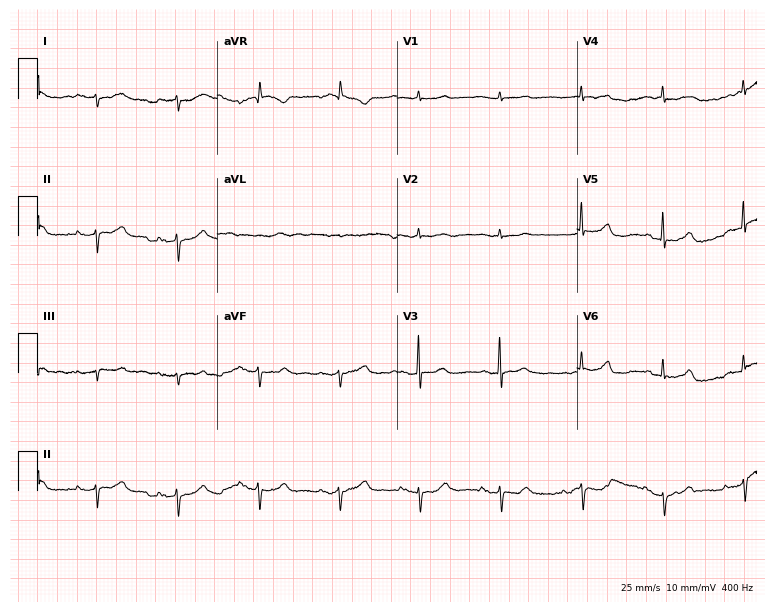
12-lead ECG from an 82-year-old female (7.3-second recording at 400 Hz). No first-degree AV block, right bundle branch block, left bundle branch block, sinus bradycardia, atrial fibrillation or sinus tachycardia recorded for this tracing. Other findings, if any, are not listed.